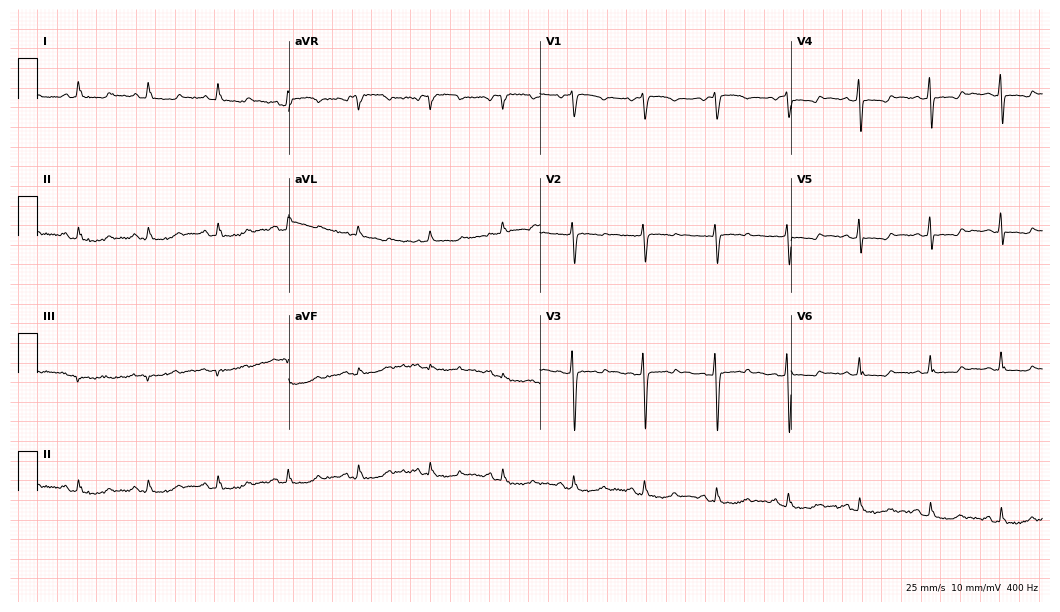
Resting 12-lead electrocardiogram (10.2-second recording at 400 Hz). Patient: a 47-year-old woman. None of these six findings is recorded: first-degree AV block, right bundle branch block, left bundle branch block, sinus bradycardia, atrial fibrillation, sinus tachycardia.